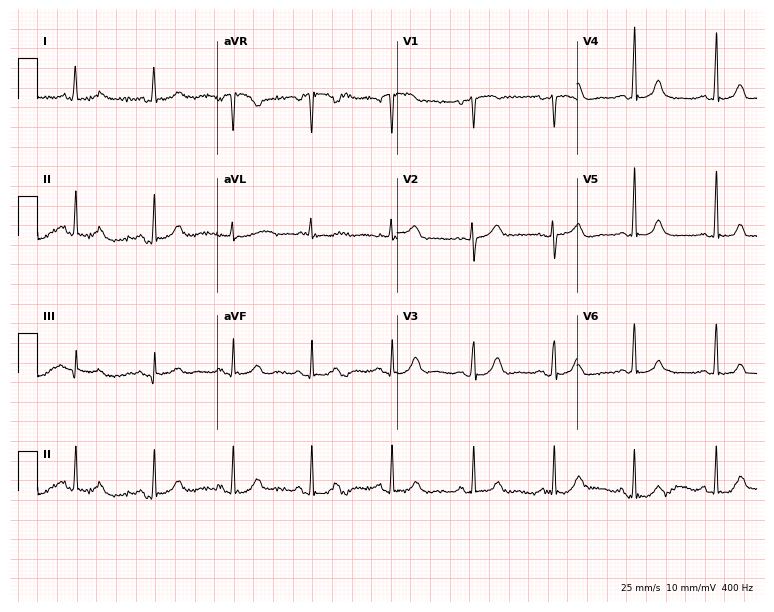
Electrocardiogram, a 42-year-old female patient. Overall reading on record: normal ECG.